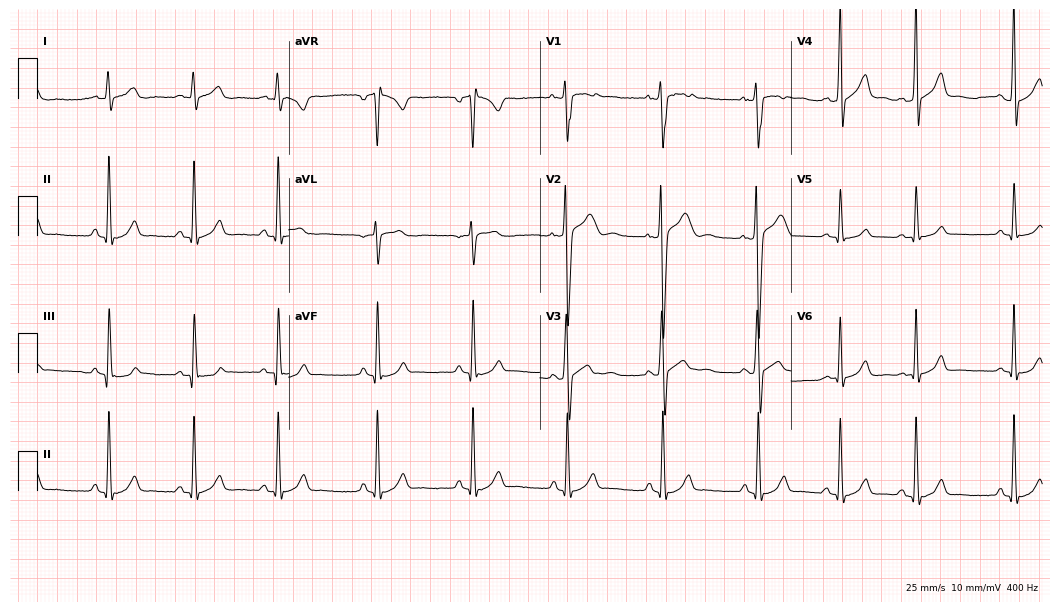
ECG (10.2-second recording at 400 Hz) — an 18-year-old male patient. Labelled as a normal ECG.